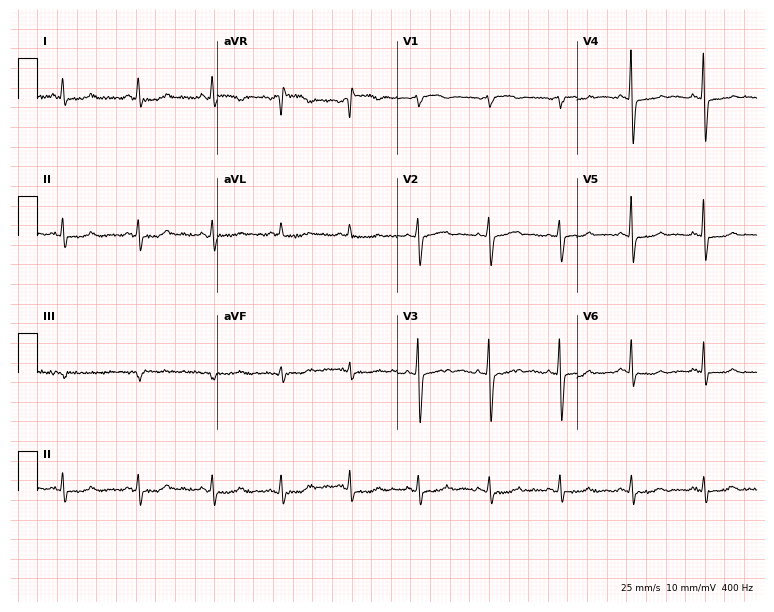
ECG (7.3-second recording at 400 Hz) — an 82-year-old female patient. Labelled as a normal ECG.